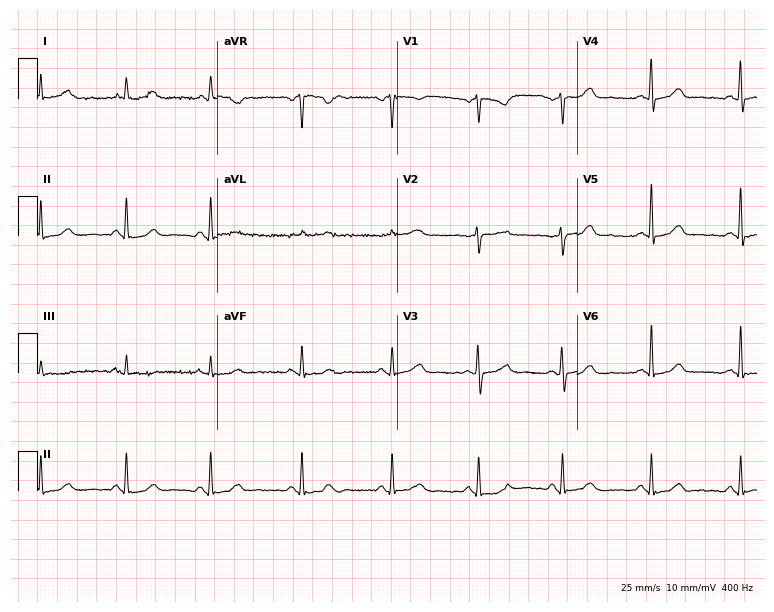
Electrocardiogram, a 57-year-old female. Overall reading on record: normal ECG.